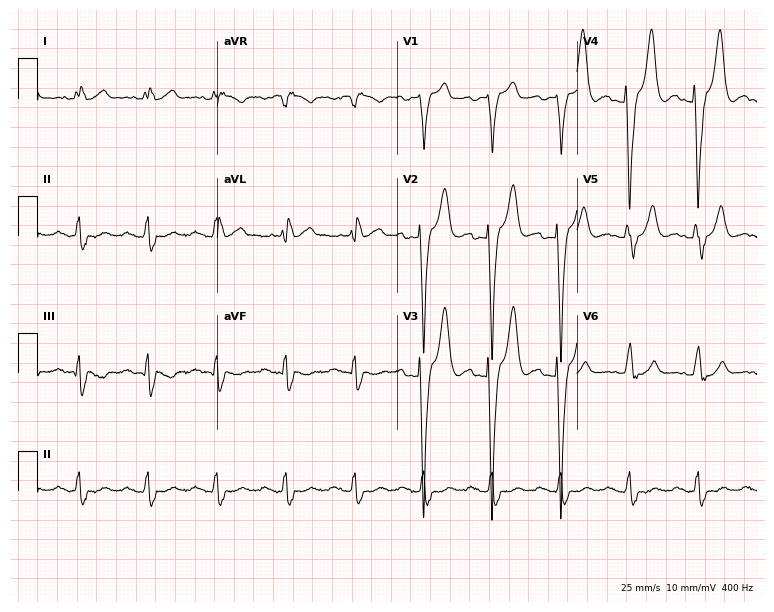
Standard 12-lead ECG recorded from a 76-year-old man (7.3-second recording at 400 Hz). The tracing shows first-degree AV block, left bundle branch block (LBBB).